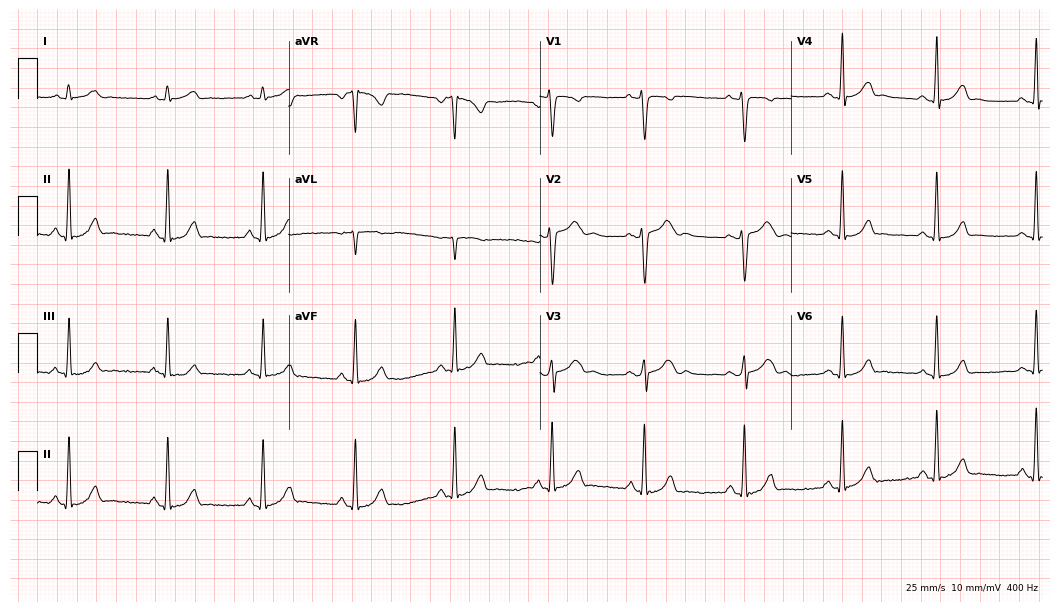
Resting 12-lead electrocardiogram (10.2-second recording at 400 Hz). Patient: a 32-year-old female. Read as a normal ECG.